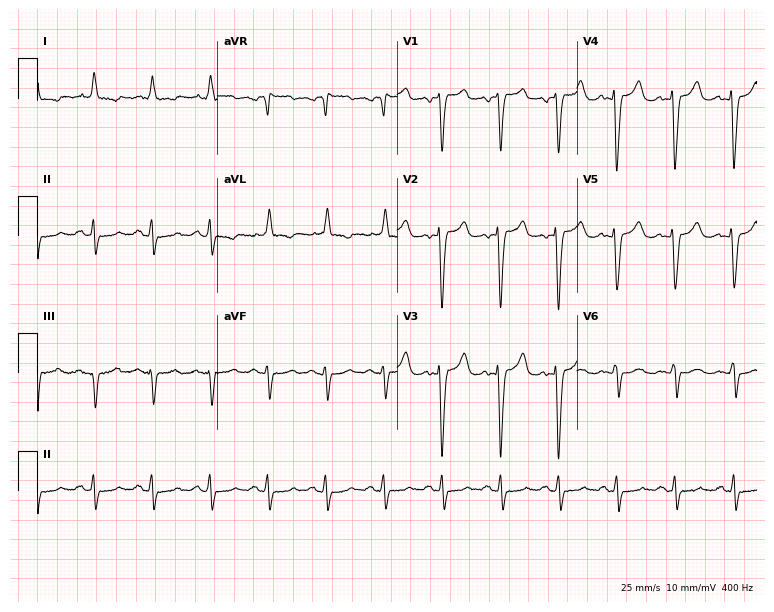
12-lead ECG from a 66-year-old male patient. No first-degree AV block, right bundle branch block, left bundle branch block, sinus bradycardia, atrial fibrillation or sinus tachycardia recorded for this tracing. Findings outside these six are not listed.